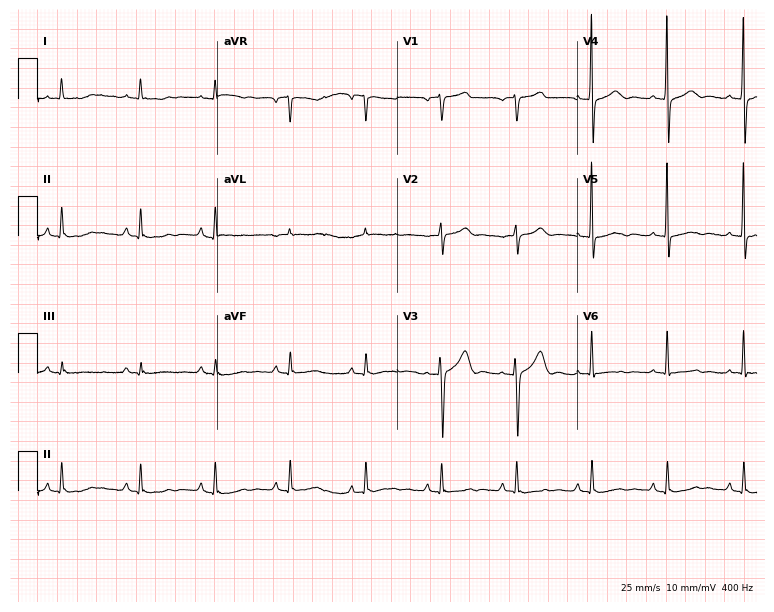
Electrocardiogram (7.3-second recording at 400 Hz), a man, 77 years old. Of the six screened findings (first-degree AV block, right bundle branch block, left bundle branch block, sinus bradycardia, atrial fibrillation, sinus tachycardia), none is recorded.